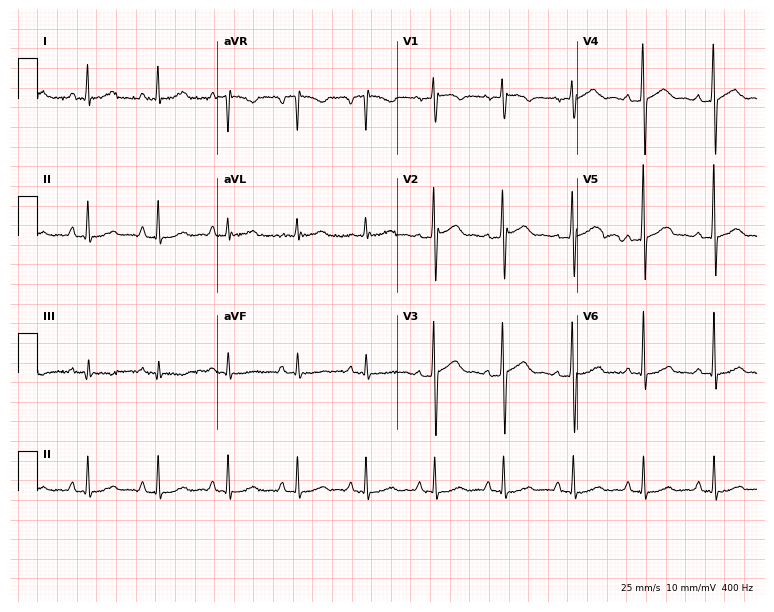
ECG — a male patient, 59 years old. Screened for six findings — first-degree AV block, right bundle branch block (RBBB), left bundle branch block (LBBB), sinus bradycardia, atrial fibrillation (AF), sinus tachycardia — none is recorded.